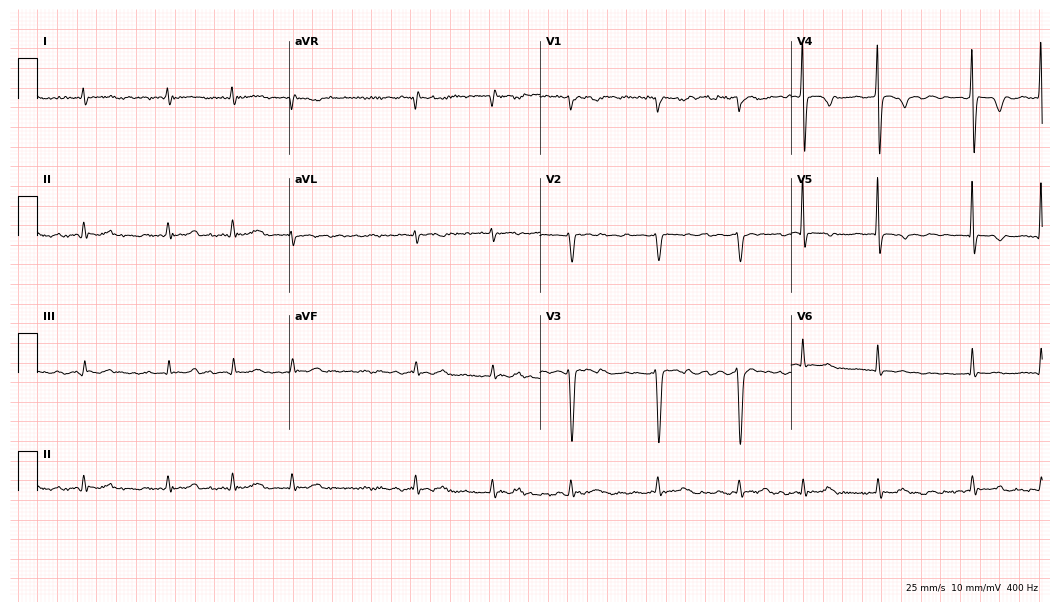
Electrocardiogram, a 59-year-old male. Interpretation includes atrial fibrillation.